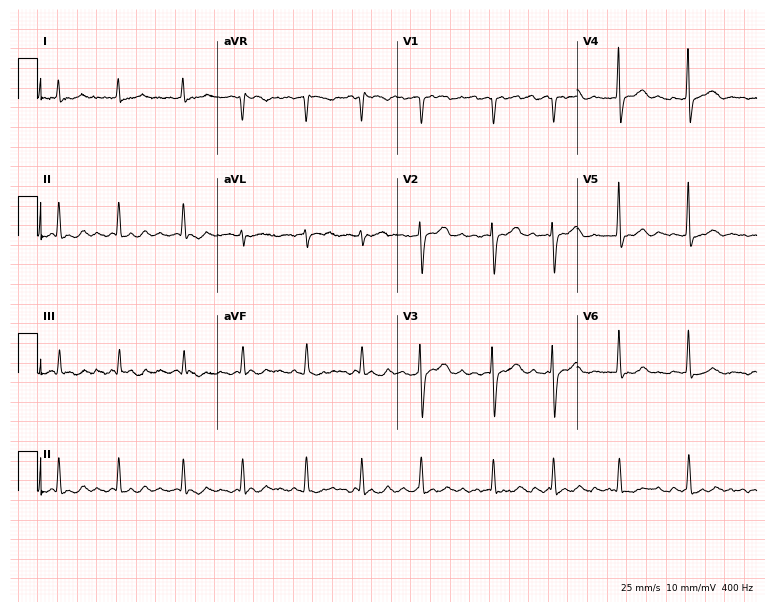
ECG (7.3-second recording at 400 Hz) — a male patient, 81 years old. Findings include atrial fibrillation.